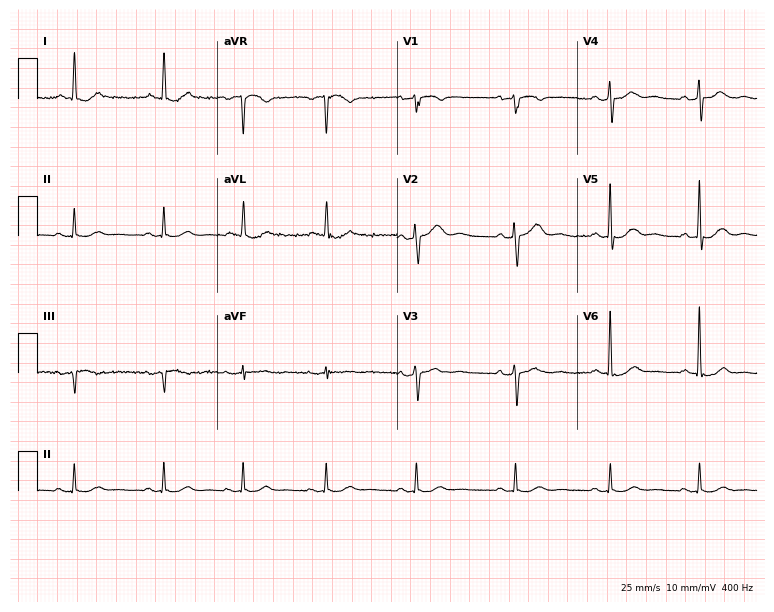
Standard 12-lead ECG recorded from a woman, 76 years old. Read as a normal ECG.